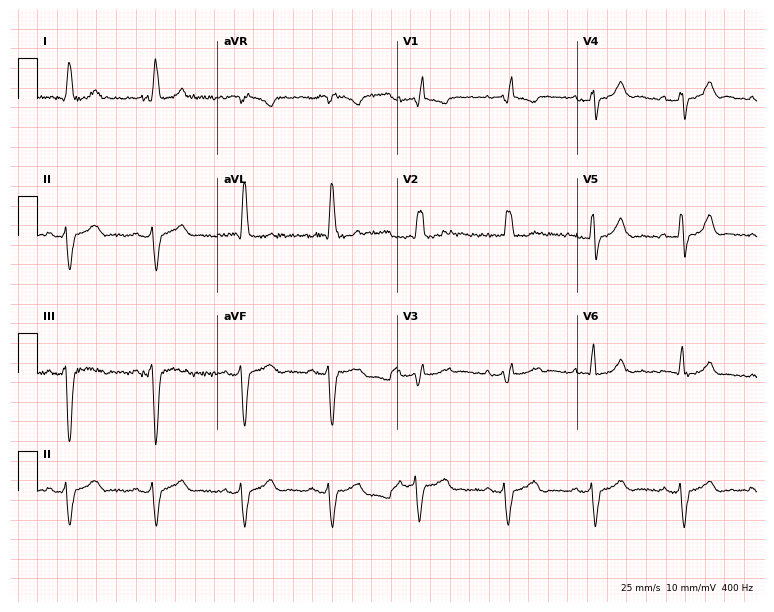
Resting 12-lead electrocardiogram (7.3-second recording at 400 Hz). Patient: a woman, 85 years old. The tracing shows first-degree AV block, right bundle branch block.